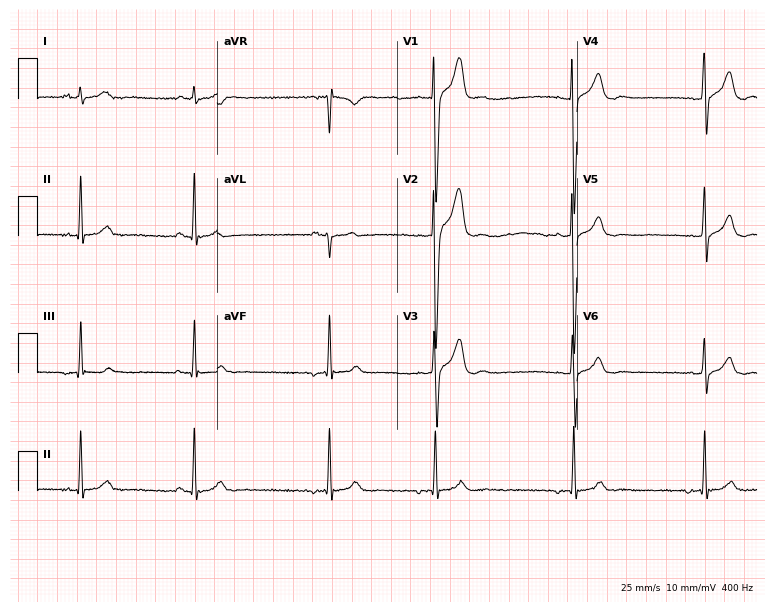
Standard 12-lead ECG recorded from a 21-year-old male patient (7.3-second recording at 400 Hz). Read as a normal ECG.